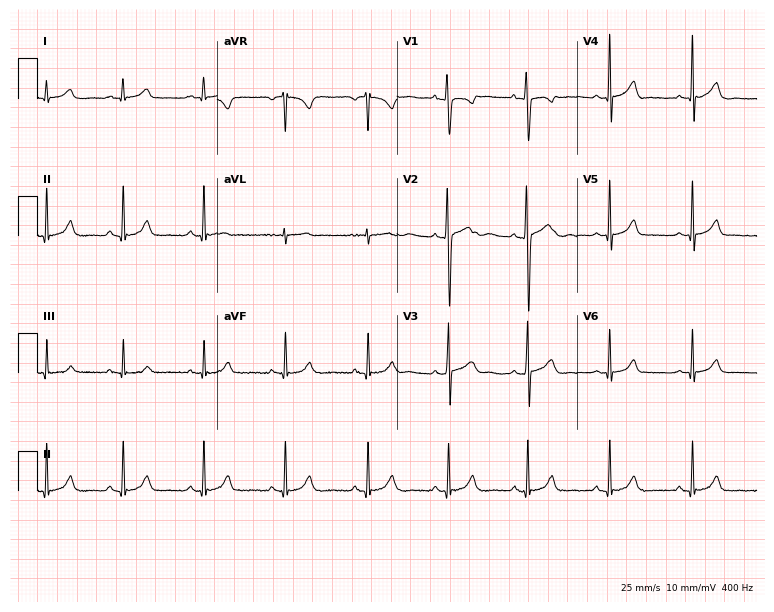
12-lead ECG (7.3-second recording at 400 Hz) from a woman, 23 years old. Screened for six findings — first-degree AV block, right bundle branch block (RBBB), left bundle branch block (LBBB), sinus bradycardia, atrial fibrillation (AF), sinus tachycardia — none is recorded.